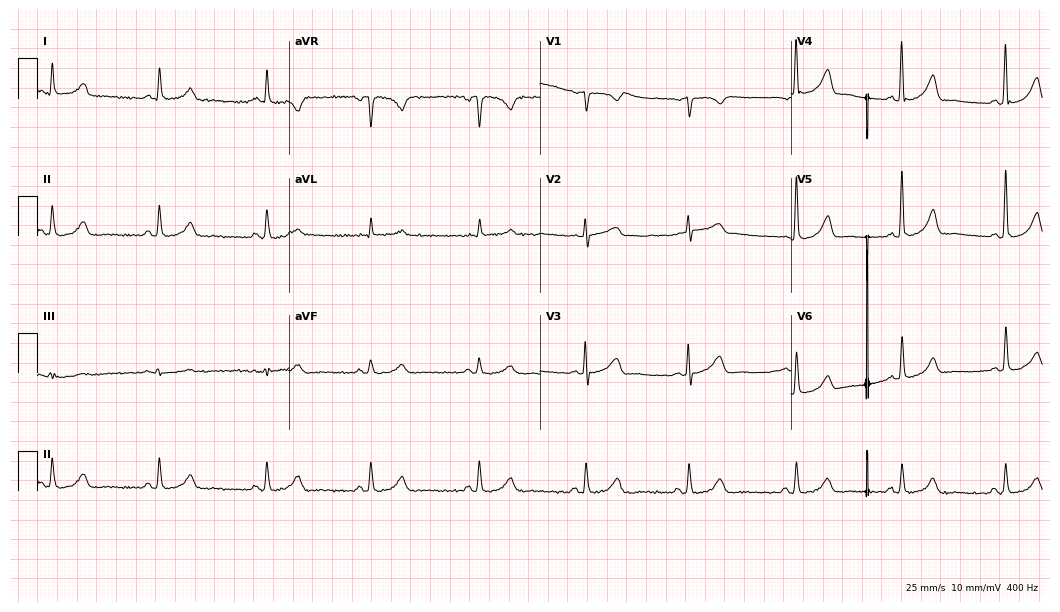
Standard 12-lead ECG recorded from a woman, 64 years old. Read as a normal ECG.